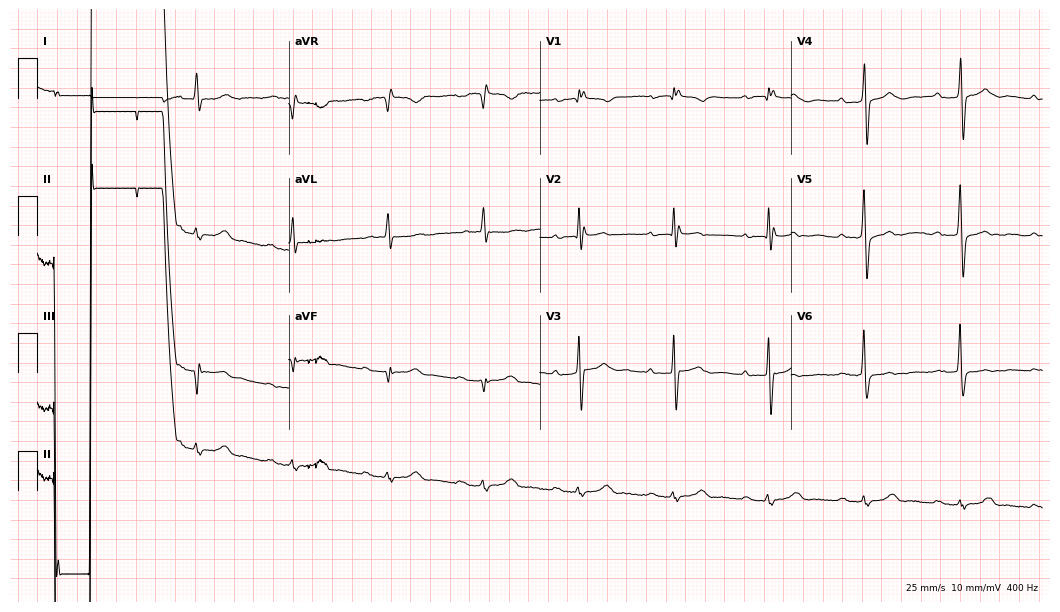
Resting 12-lead electrocardiogram (10.2-second recording at 400 Hz). Patient: a 79-year-old male. None of these six findings is recorded: first-degree AV block, right bundle branch block, left bundle branch block, sinus bradycardia, atrial fibrillation, sinus tachycardia.